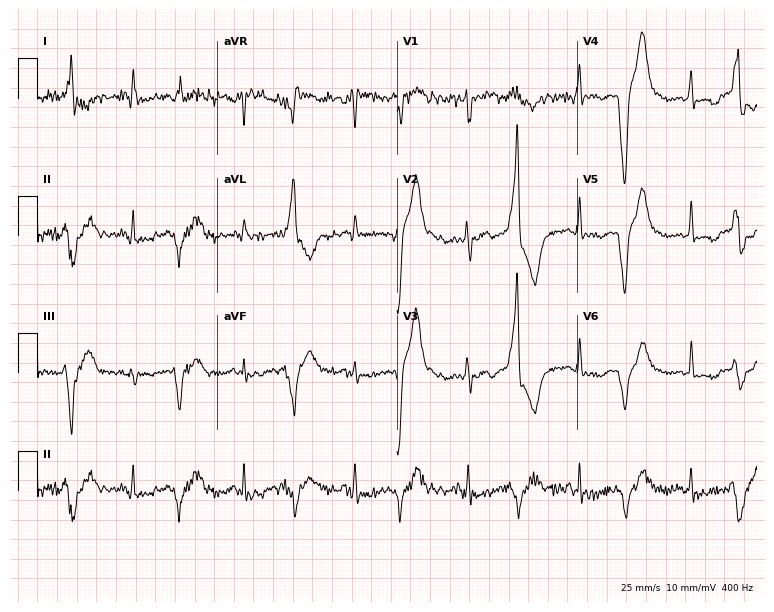
ECG — a 48-year-old woman. Screened for six findings — first-degree AV block, right bundle branch block, left bundle branch block, sinus bradycardia, atrial fibrillation, sinus tachycardia — none is recorded.